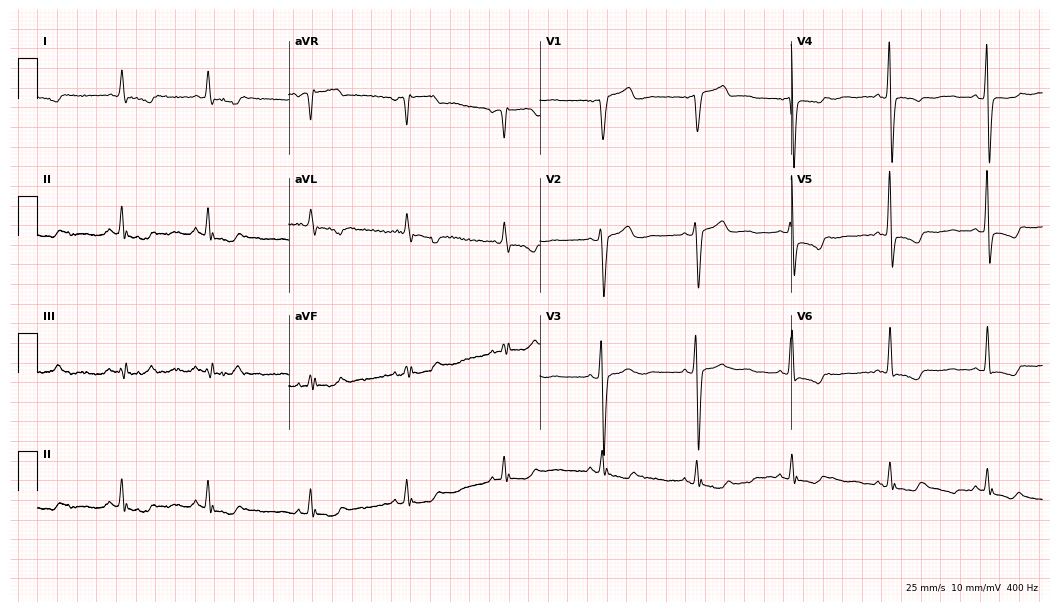
Standard 12-lead ECG recorded from a 64-year-old male (10.2-second recording at 400 Hz). None of these six findings is recorded: first-degree AV block, right bundle branch block, left bundle branch block, sinus bradycardia, atrial fibrillation, sinus tachycardia.